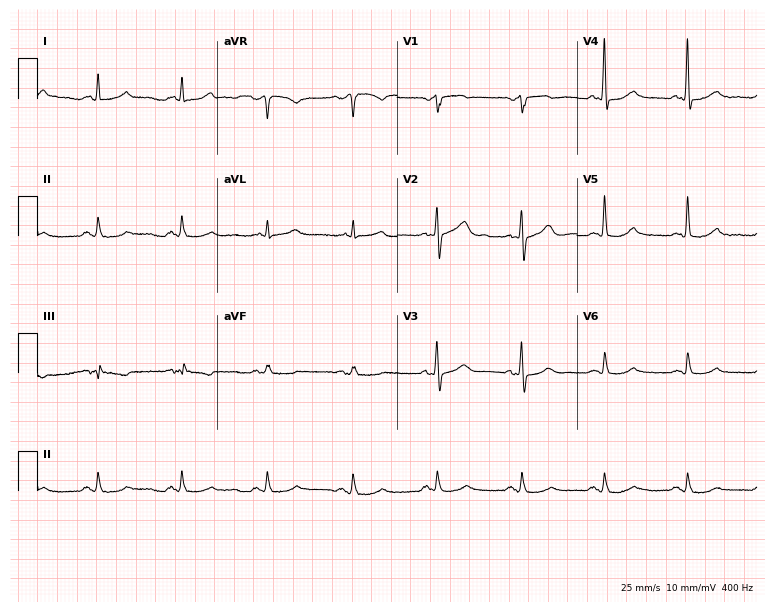
Resting 12-lead electrocardiogram. Patient: a male, 76 years old. None of these six findings is recorded: first-degree AV block, right bundle branch block, left bundle branch block, sinus bradycardia, atrial fibrillation, sinus tachycardia. Only these six findings were labelled.